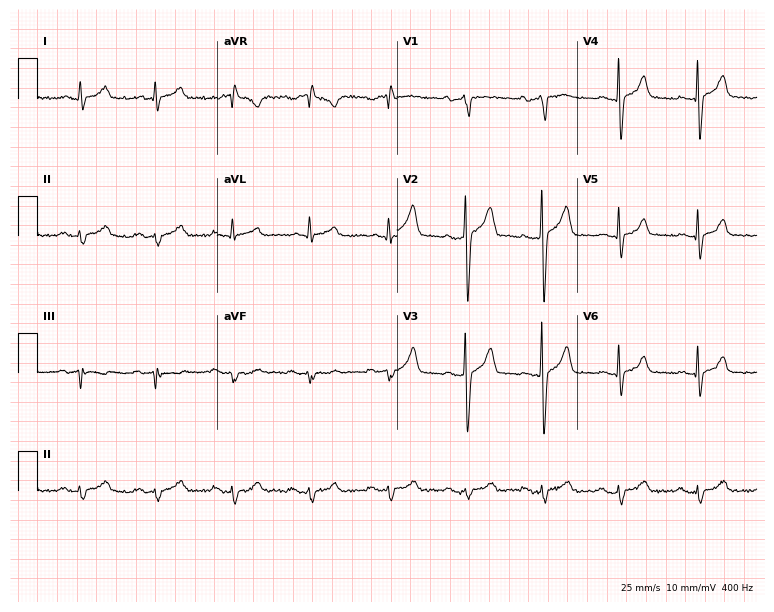
12-lead ECG from a male, 62 years old. Screened for six findings — first-degree AV block, right bundle branch block, left bundle branch block, sinus bradycardia, atrial fibrillation, sinus tachycardia — none is recorded.